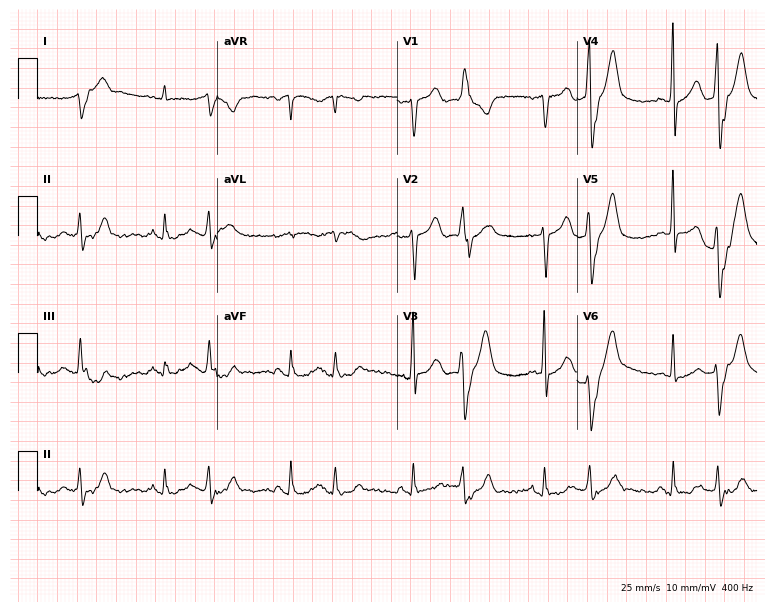
ECG (7.3-second recording at 400 Hz) — a male patient, 77 years old. Screened for six findings — first-degree AV block, right bundle branch block, left bundle branch block, sinus bradycardia, atrial fibrillation, sinus tachycardia — none is recorded. Findings outside these six are not listed.